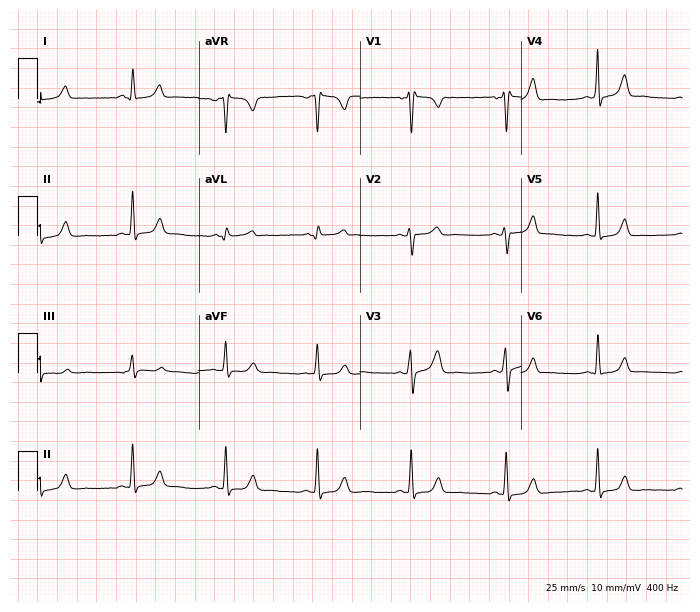
ECG (6.6-second recording at 400 Hz) — a female, 30 years old. Labelled as a normal ECG.